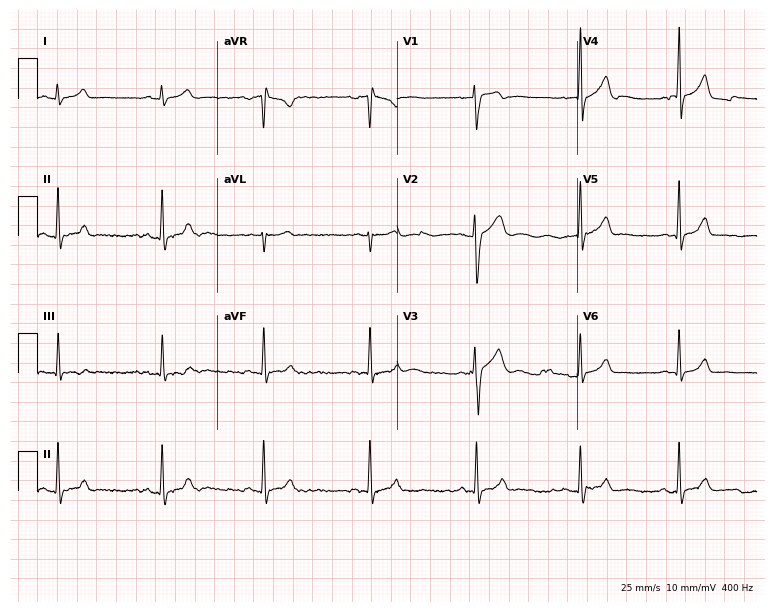
Standard 12-lead ECG recorded from a male, 25 years old (7.3-second recording at 400 Hz). Read as a normal ECG.